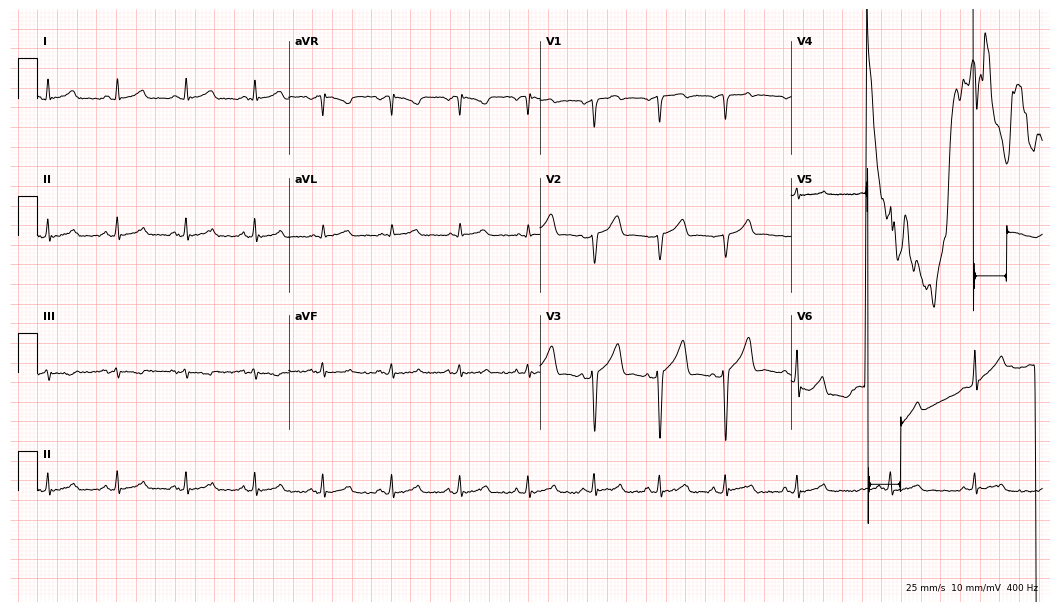
Standard 12-lead ECG recorded from a male patient, 46 years old (10.2-second recording at 400 Hz). None of these six findings is recorded: first-degree AV block, right bundle branch block, left bundle branch block, sinus bradycardia, atrial fibrillation, sinus tachycardia. Only these six findings were labelled.